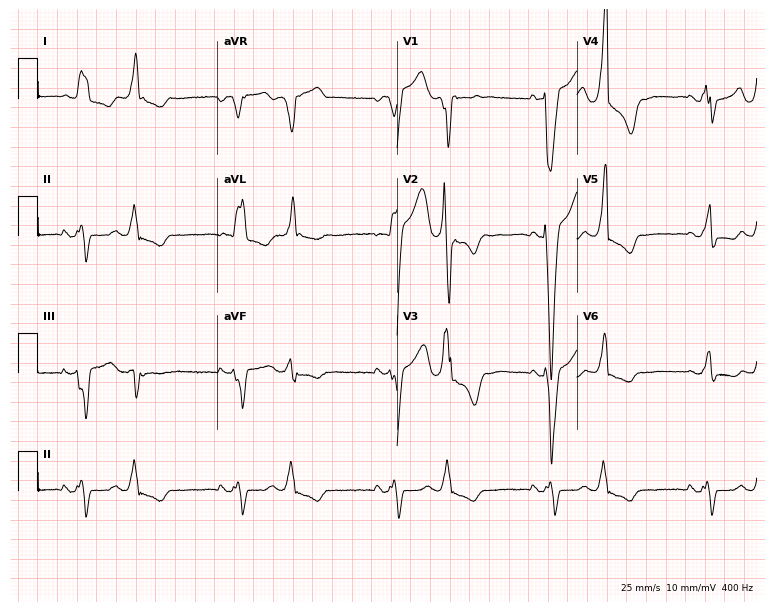
Resting 12-lead electrocardiogram. Patient: an 83-year-old male. The tracing shows left bundle branch block (LBBB).